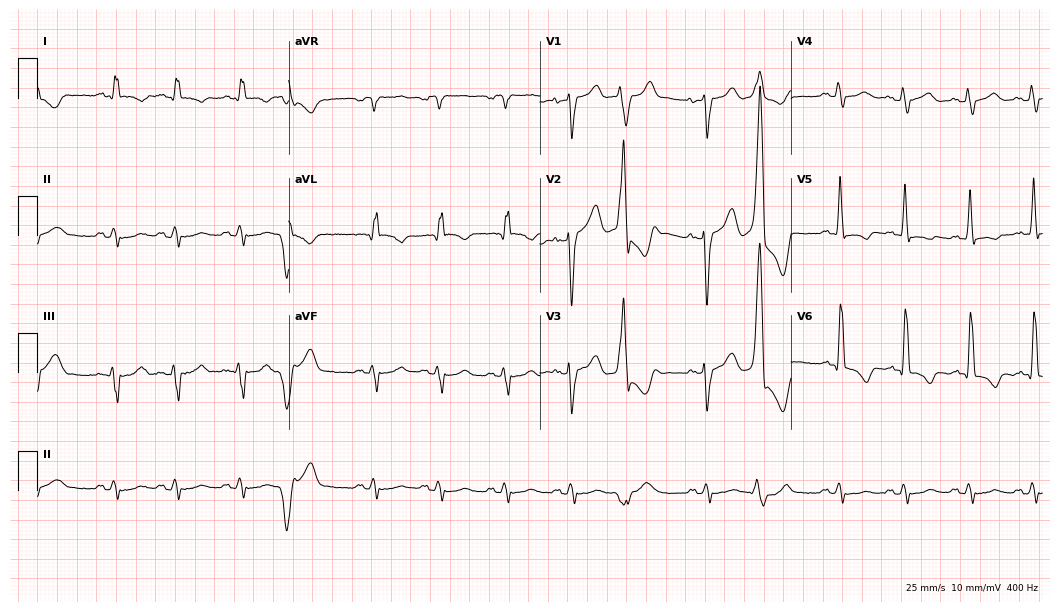
Electrocardiogram (10.2-second recording at 400 Hz), a male patient, 66 years old. Of the six screened findings (first-degree AV block, right bundle branch block (RBBB), left bundle branch block (LBBB), sinus bradycardia, atrial fibrillation (AF), sinus tachycardia), none is recorded. Other findings, if any, are not listed.